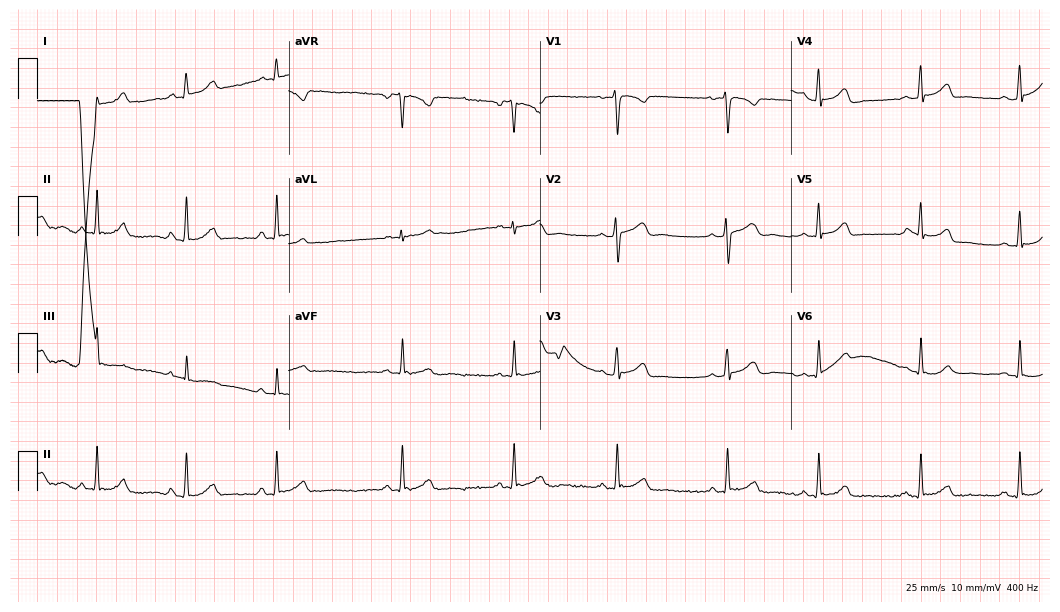
Electrocardiogram, a female, 20 years old. Overall reading on record: normal ECG.